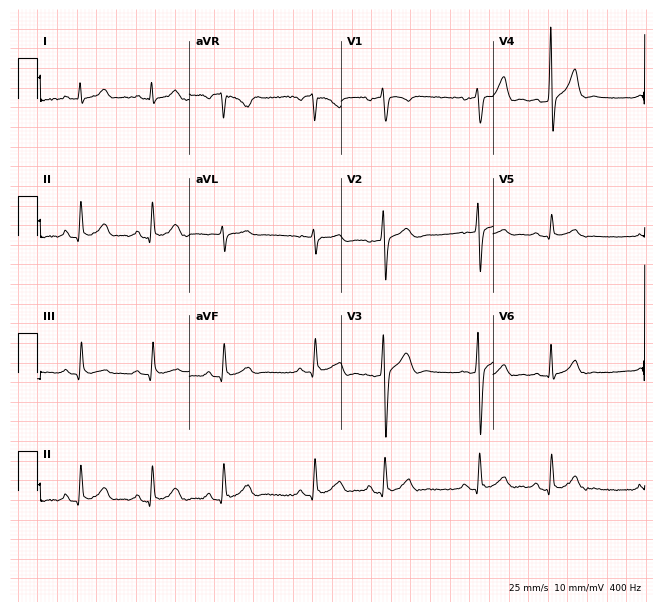
Resting 12-lead electrocardiogram (6.2-second recording at 400 Hz). Patient: a male, 32 years old. None of these six findings is recorded: first-degree AV block, right bundle branch block (RBBB), left bundle branch block (LBBB), sinus bradycardia, atrial fibrillation (AF), sinus tachycardia. Findings outside these six are not listed.